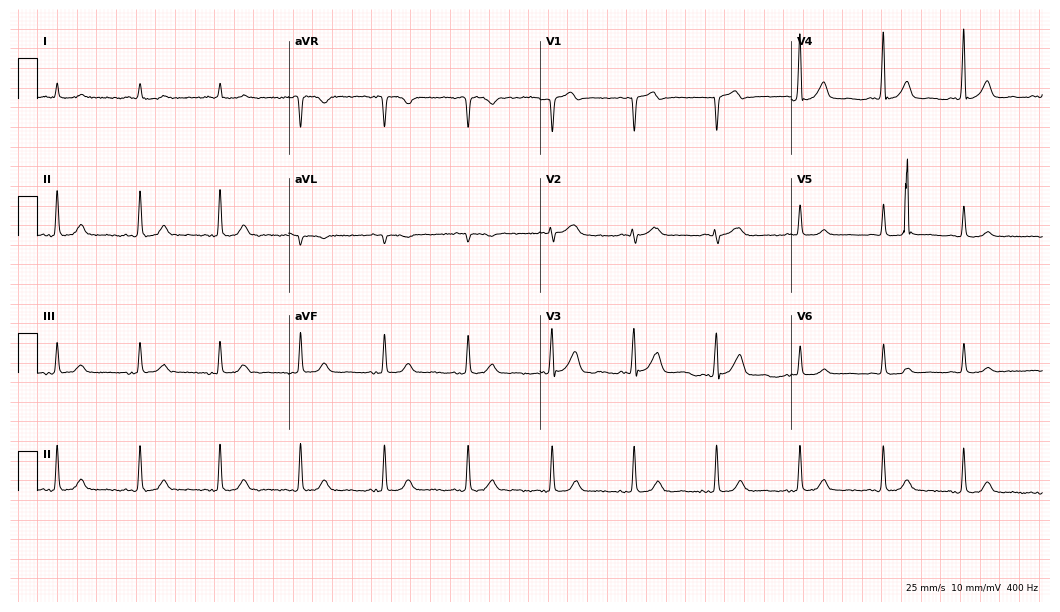
Electrocardiogram, a male patient, 76 years old. Of the six screened findings (first-degree AV block, right bundle branch block, left bundle branch block, sinus bradycardia, atrial fibrillation, sinus tachycardia), none is recorded. Other findings, if any, are not listed.